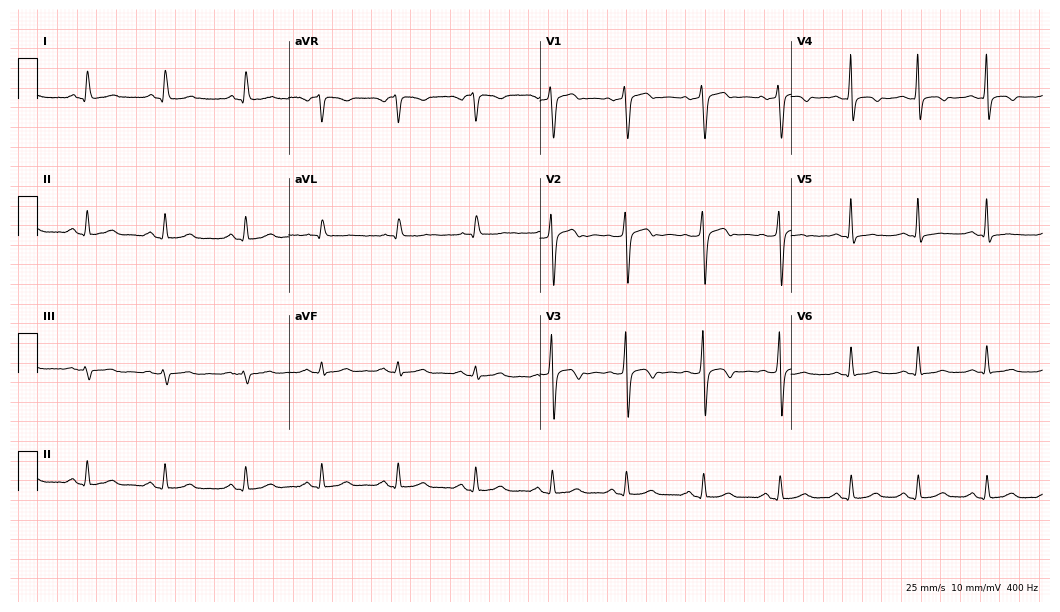
12-lead ECG from a 52-year-old male patient. Screened for six findings — first-degree AV block, right bundle branch block, left bundle branch block, sinus bradycardia, atrial fibrillation, sinus tachycardia — none is recorded.